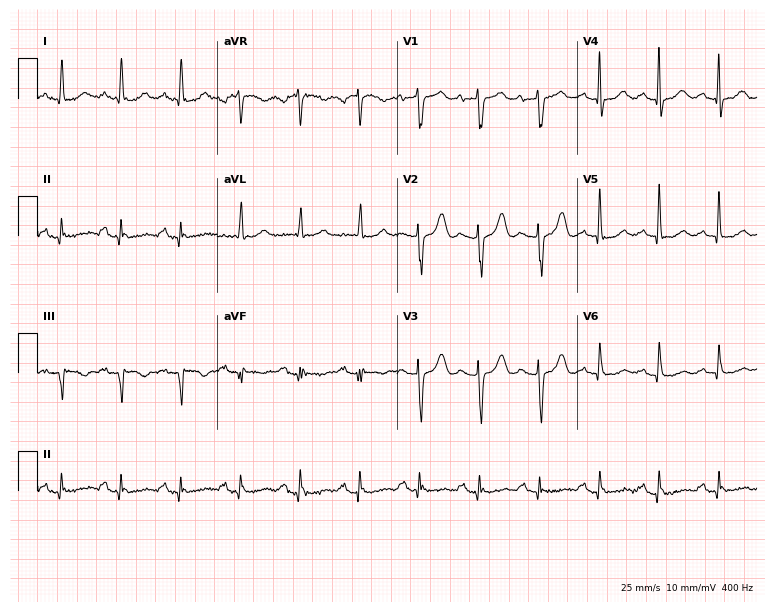
Resting 12-lead electrocardiogram (7.3-second recording at 400 Hz). Patient: a female, 84 years old. Read as a normal ECG.